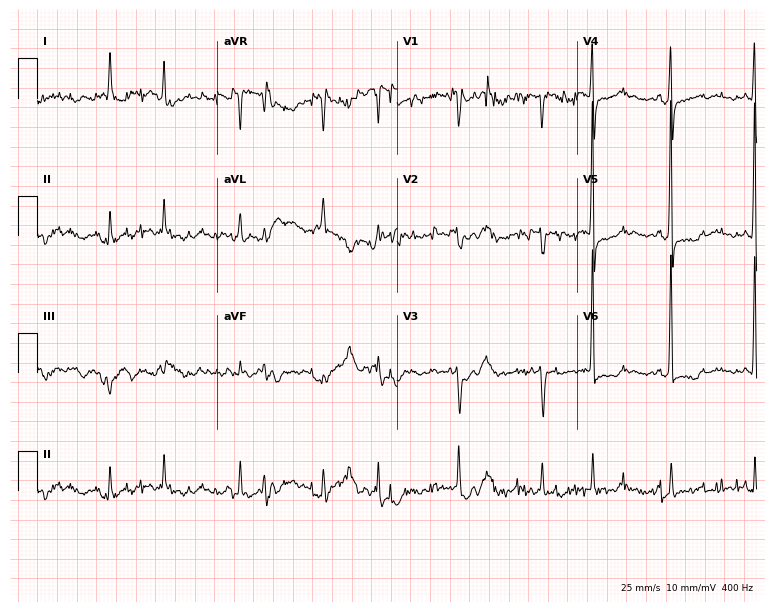
12-lead ECG from a woman, 85 years old. Screened for six findings — first-degree AV block, right bundle branch block, left bundle branch block, sinus bradycardia, atrial fibrillation, sinus tachycardia — none is recorded. Findings outside these six are not listed.